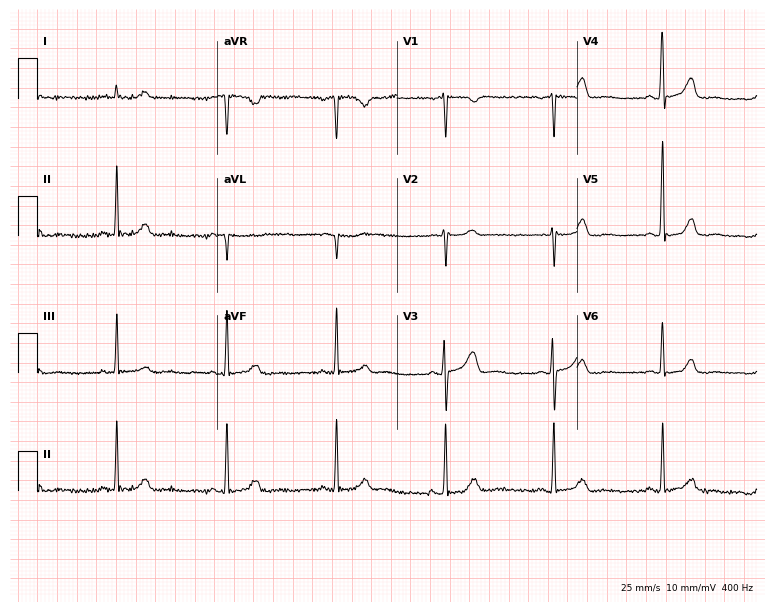
Electrocardiogram, a 49-year-old woman. Overall reading on record: normal ECG.